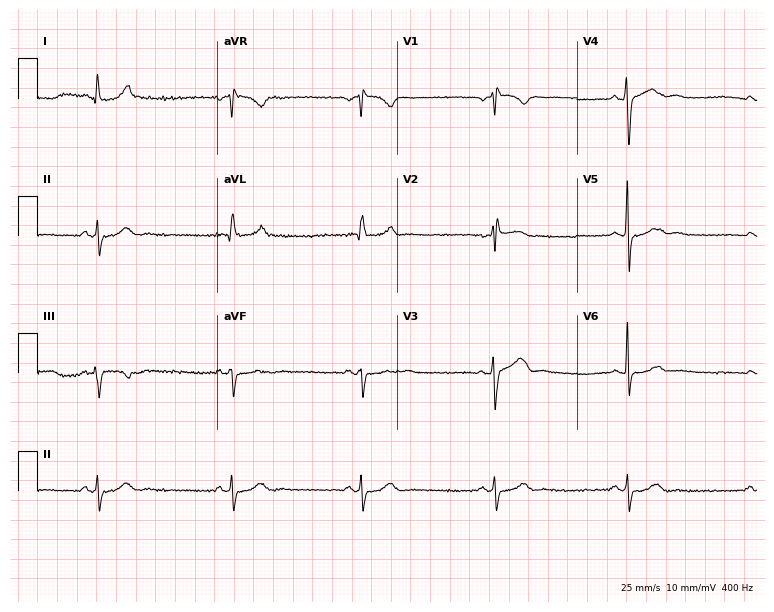
Standard 12-lead ECG recorded from a man, 60 years old. The tracing shows sinus bradycardia (a sinus rate of 50 beats per minute or less).